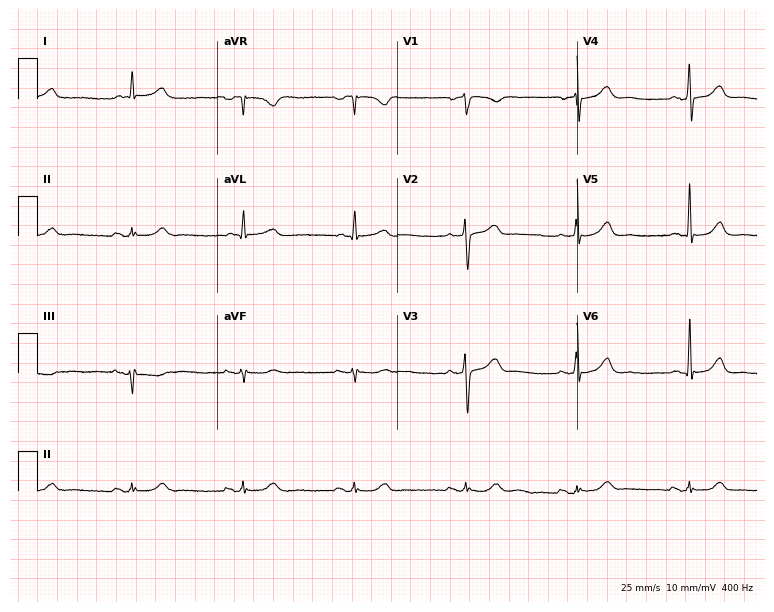
12-lead ECG from a man, 60 years old (7.3-second recording at 400 Hz). No first-degree AV block, right bundle branch block (RBBB), left bundle branch block (LBBB), sinus bradycardia, atrial fibrillation (AF) or sinus tachycardia recorded for this tracing.